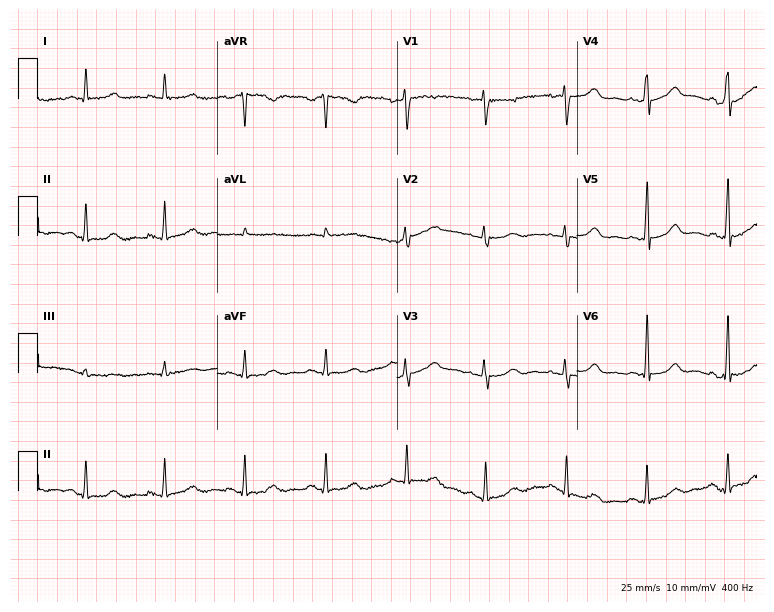
Resting 12-lead electrocardiogram. Patient: a female, 54 years old. None of these six findings is recorded: first-degree AV block, right bundle branch block, left bundle branch block, sinus bradycardia, atrial fibrillation, sinus tachycardia.